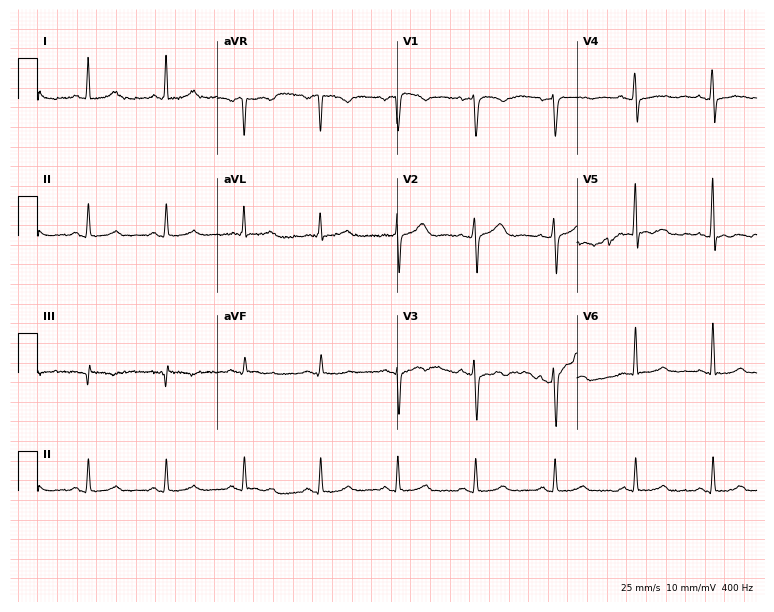
ECG (7.3-second recording at 400 Hz) — a 51-year-old female patient. Screened for six findings — first-degree AV block, right bundle branch block (RBBB), left bundle branch block (LBBB), sinus bradycardia, atrial fibrillation (AF), sinus tachycardia — none is recorded.